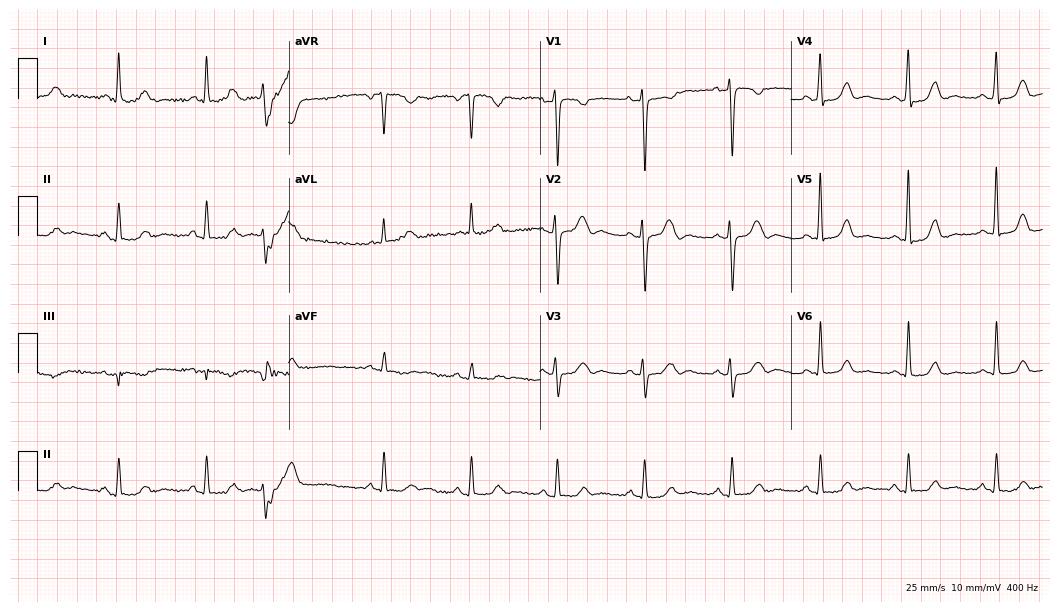
Electrocardiogram (10.2-second recording at 400 Hz), a woman, 75 years old. Of the six screened findings (first-degree AV block, right bundle branch block, left bundle branch block, sinus bradycardia, atrial fibrillation, sinus tachycardia), none is recorded. Only these six findings were labelled.